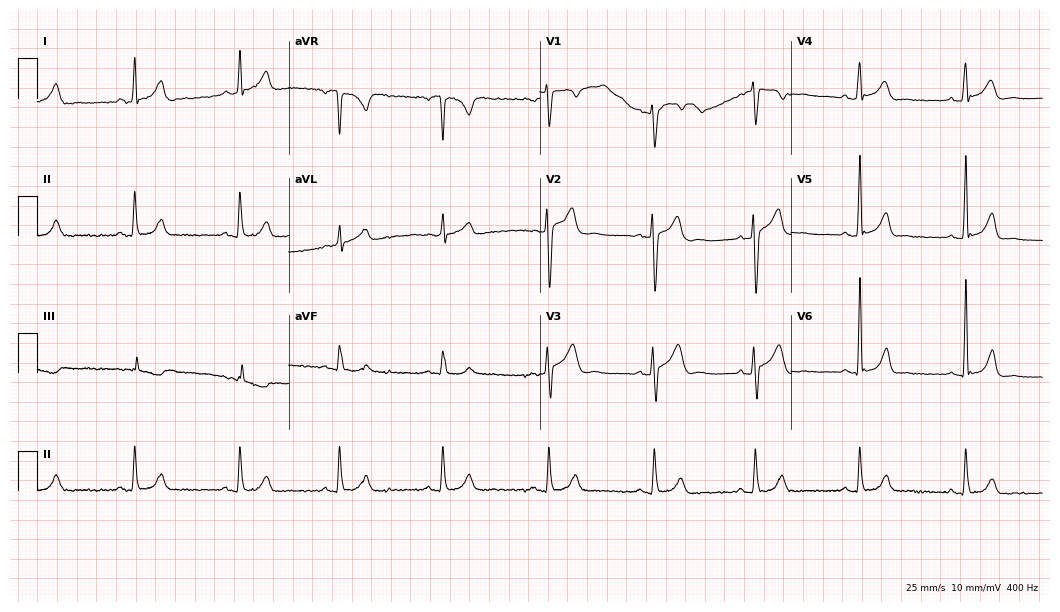
12-lead ECG (10.2-second recording at 400 Hz) from a 41-year-old man. Screened for six findings — first-degree AV block, right bundle branch block (RBBB), left bundle branch block (LBBB), sinus bradycardia, atrial fibrillation (AF), sinus tachycardia — none is recorded. Only these six findings were labelled.